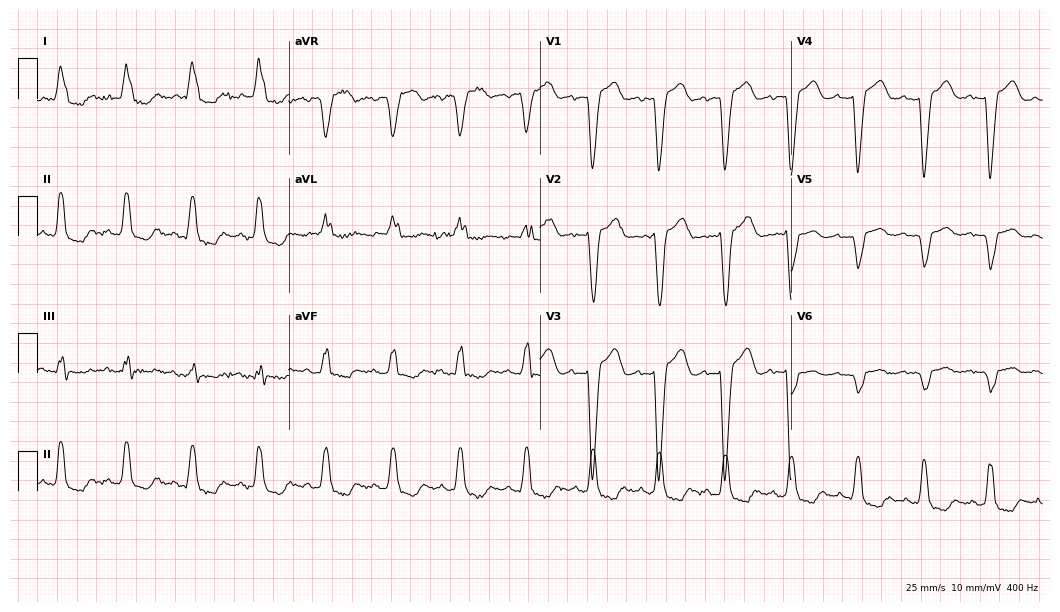
12-lead ECG from a female, 77 years old. Findings include left bundle branch block.